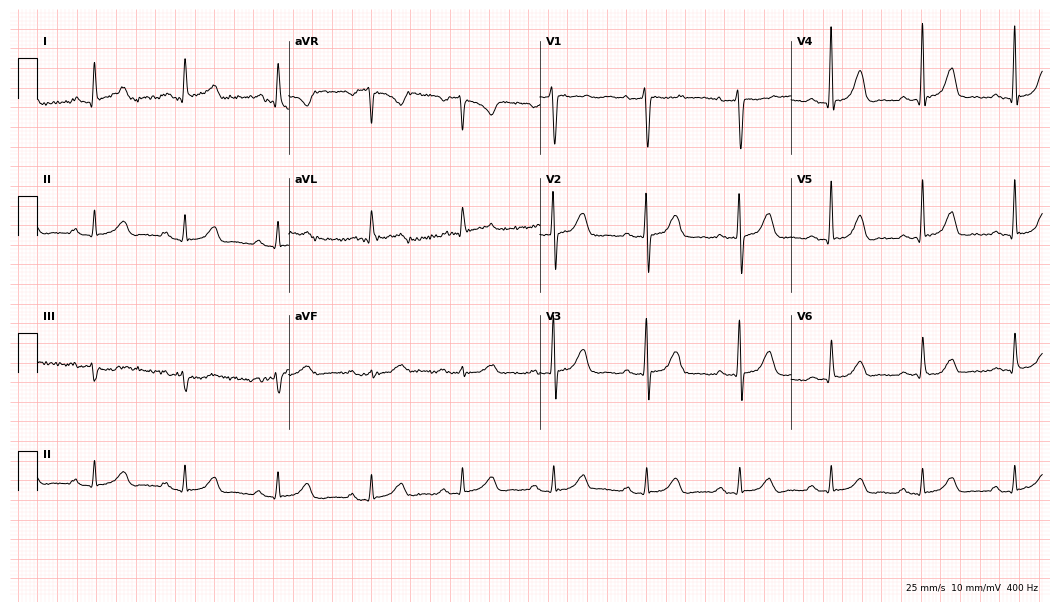
12-lead ECG (10.2-second recording at 400 Hz) from a 58-year-old female. Labelled as a normal ECG.